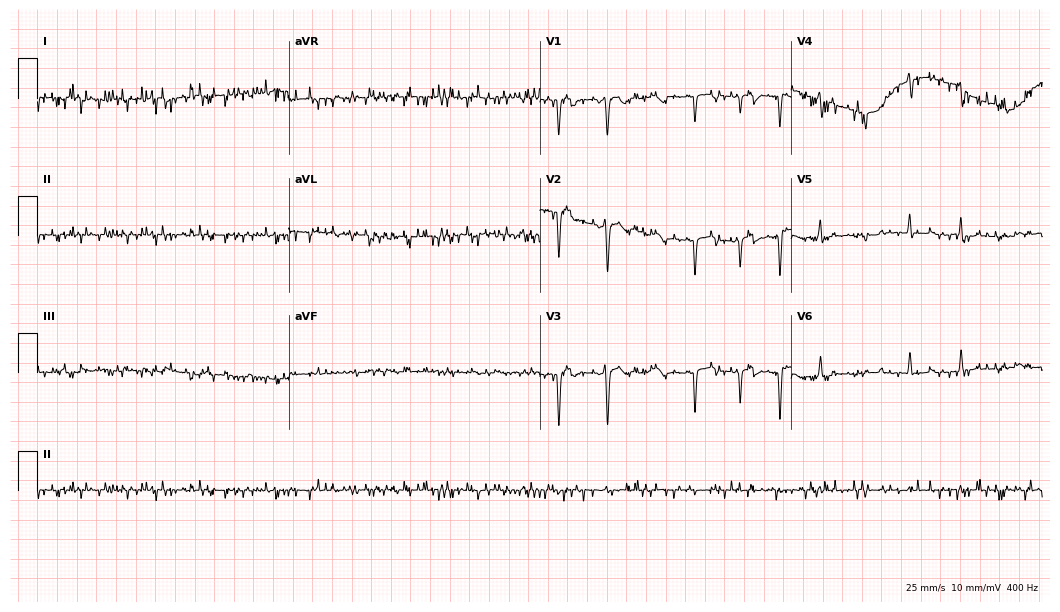
Standard 12-lead ECG recorded from a 43-year-old female. None of these six findings is recorded: first-degree AV block, right bundle branch block (RBBB), left bundle branch block (LBBB), sinus bradycardia, atrial fibrillation (AF), sinus tachycardia. Other findings, if any, are not listed.